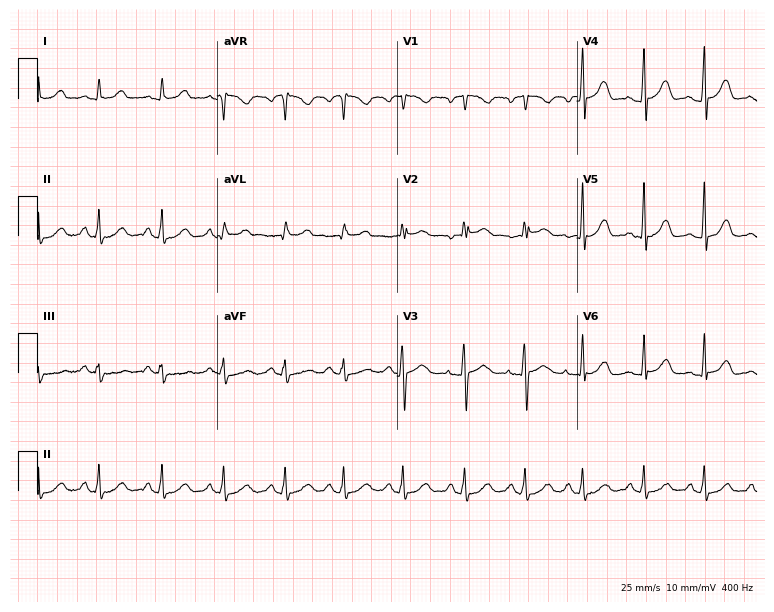
Electrocardiogram, a female, 47 years old. Of the six screened findings (first-degree AV block, right bundle branch block, left bundle branch block, sinus bradycardia, atrial fibrillation, sinus tachycardia), none is recorded.